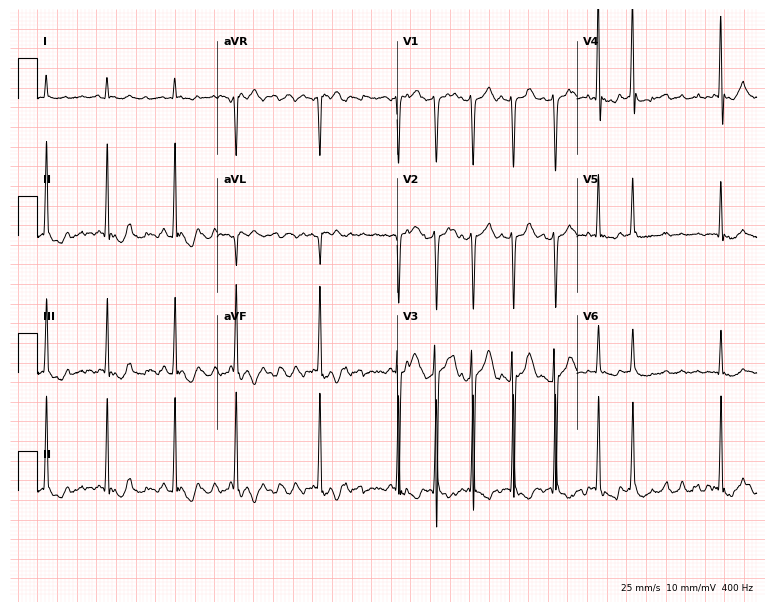
Electrocardiogram, a man, 79 years old. Of the six screened findings (first-degree AV block, right bundle branch block, left bundle branch block, sinus bradycardia, atrial fibrillation, sinus tachycardia), none is recorded.